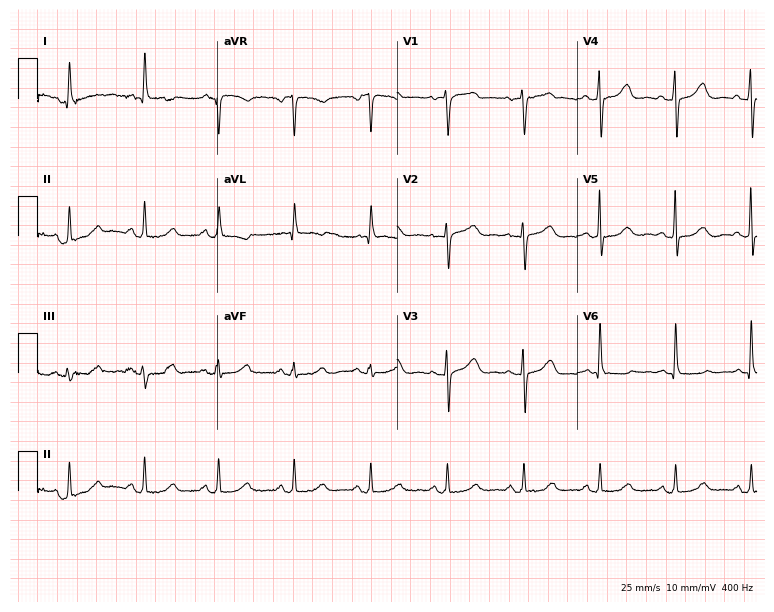
12-lead ECG from a female patient, 85 years old. Labelled as a normal ECG.